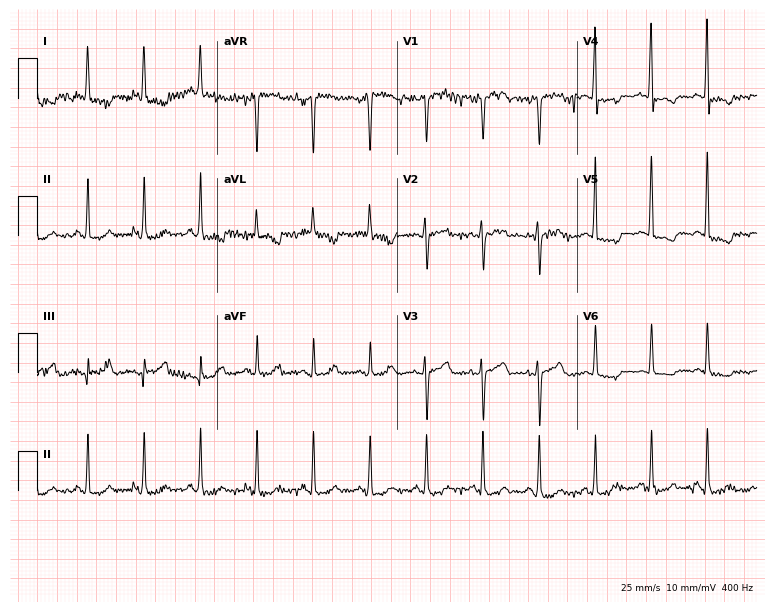
12-lead ECG from a 70-year-old female patient (7.3-second recording at 400 Hz). No first-degree AV block, right bundle branch block, left bundle branch block, sinus bradycardia, atrial fibrillation or sinus tachycardia recorded for this tracing.